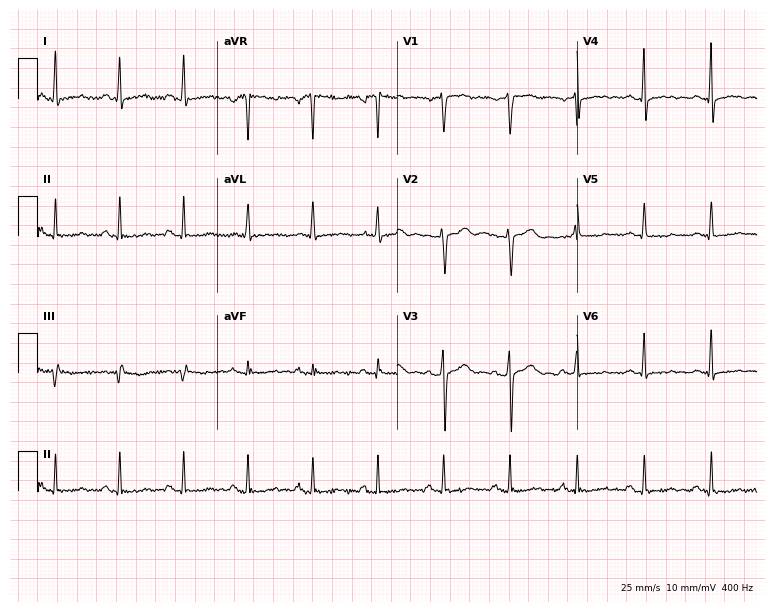
12-lead ECG from a 43-year-old female patient. No first-degree AV block, right bundle branch block, left bundle branch block, sinus bradycardia, atrial fibrillation or sinus tachycardia recorded for this tracing. Findings outside these six are not listed.